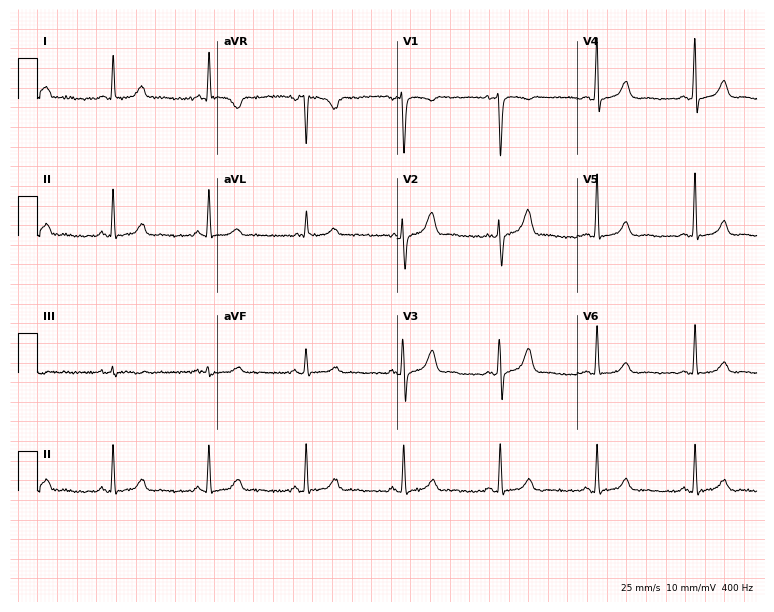
12-lead ECG (7.3-second recording at 400 Hz) from a 61-year-old female patient. Screened for six findings — first-degree AV block, right bundle branch block (RBBB), left bundle branch block (LBBB), sinus bradycardia, atrial fibrillation (AF), sinus tachycardia — none is recorded.